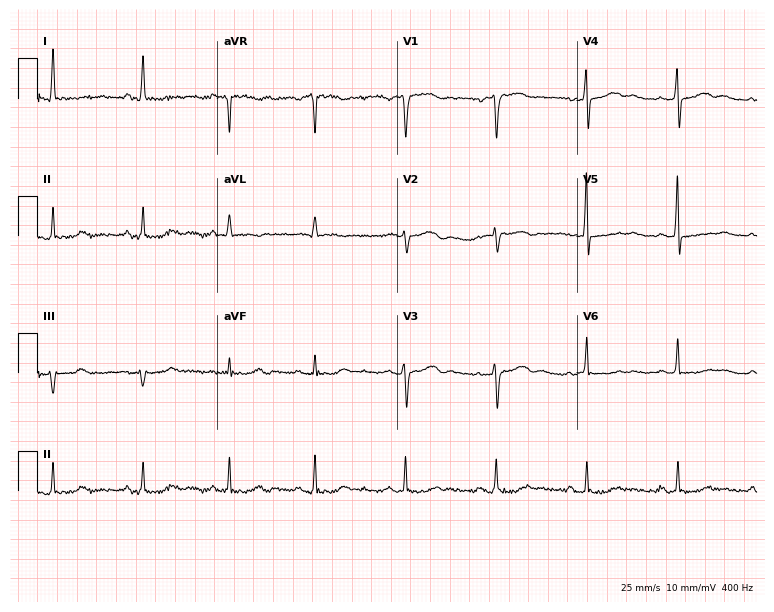
Electrocardiogram (7.3-second recording at 400 Hz), a 56-year-old female. Of the six screened findings (first-degree AV block, right bundle branch block (RBBB), left bundle branch block (LBBB), sinus bradycardia, atrial fibrillation (AF), sinus tachycardia), none is recorded.